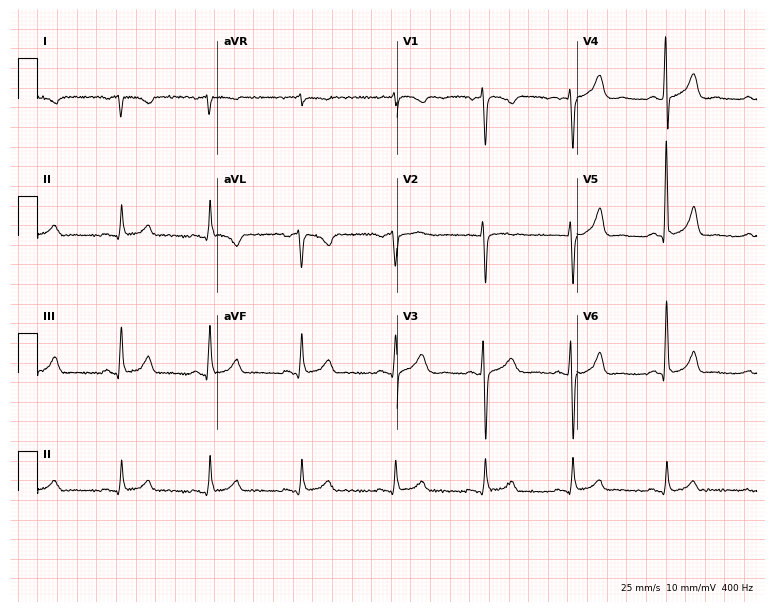
Resting 12-lead electrocardiogram. Patient: a male, 62 years old. None of these six findings is recorded: first-degree AV block, right bundle branch block, left bundle branch block, sinus bradycardia, atrial fibrillation, sinus tachycardia.